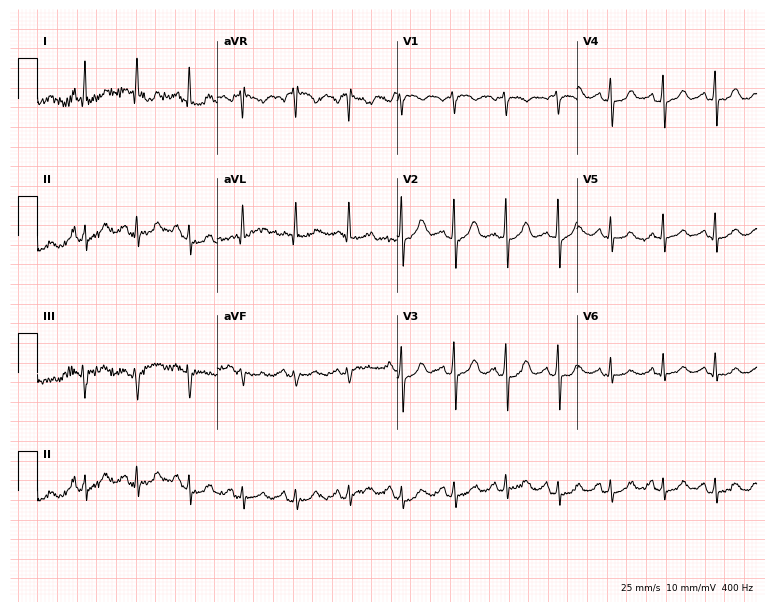
Resting 12-lead electrocardiogram. Patient: a 79-year-old woman. The tracing shows sinus tachycardia (a sinus rate of 100 beats per minute or more).